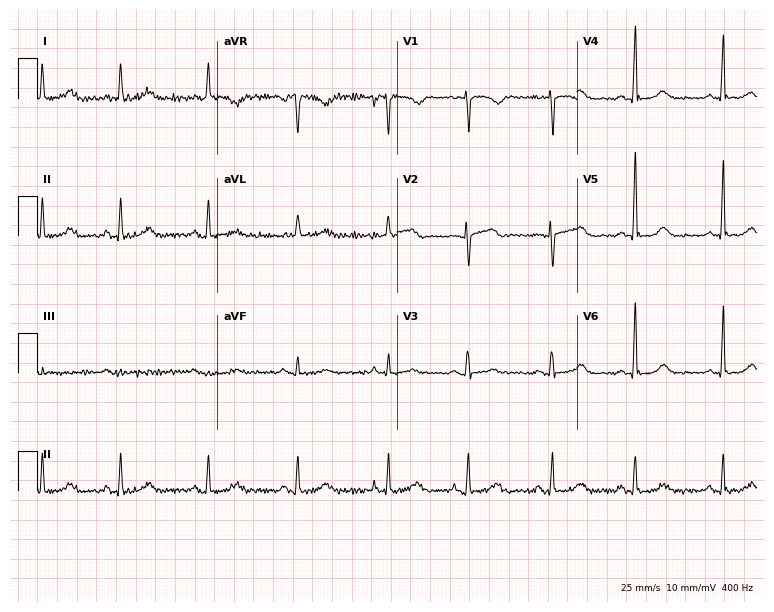
Standard 12-lead ECG recorded from a 64-year-old female. Read as a normal ECG.